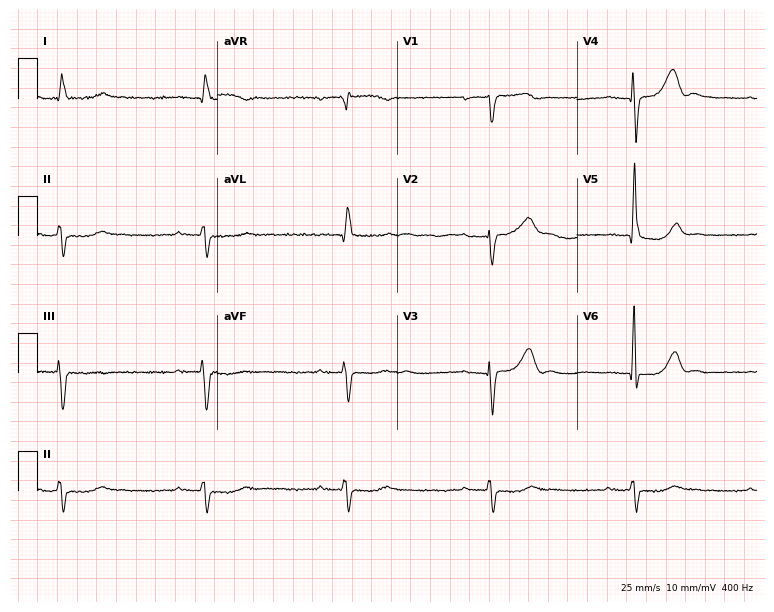
Resting 12-lead electrocardiogram. Patient: a man, 84 years old. The tracing shows first-degree AV block, sinus bradycardia (a sinus rate of 50 beats per minute or less).